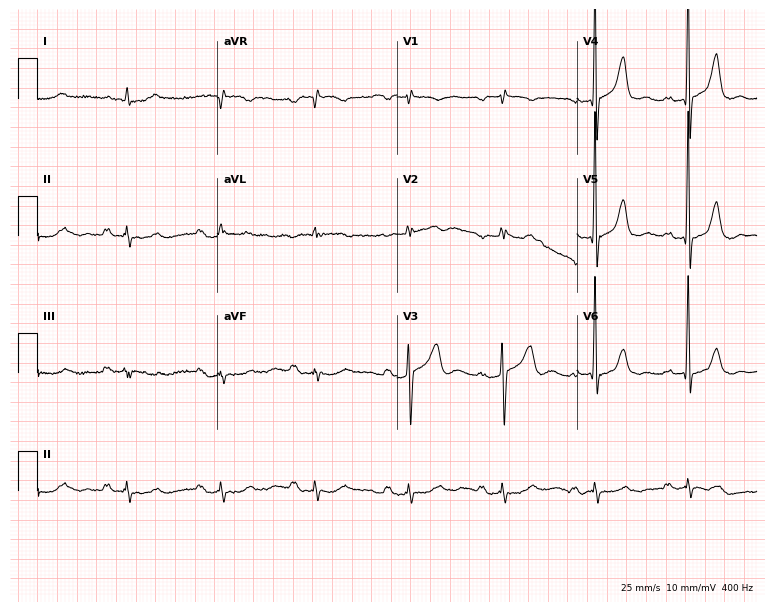
12-lead ECG from a man, 69 years old (7.3-second recording at 400 Hz). Shows first-degree AV block.